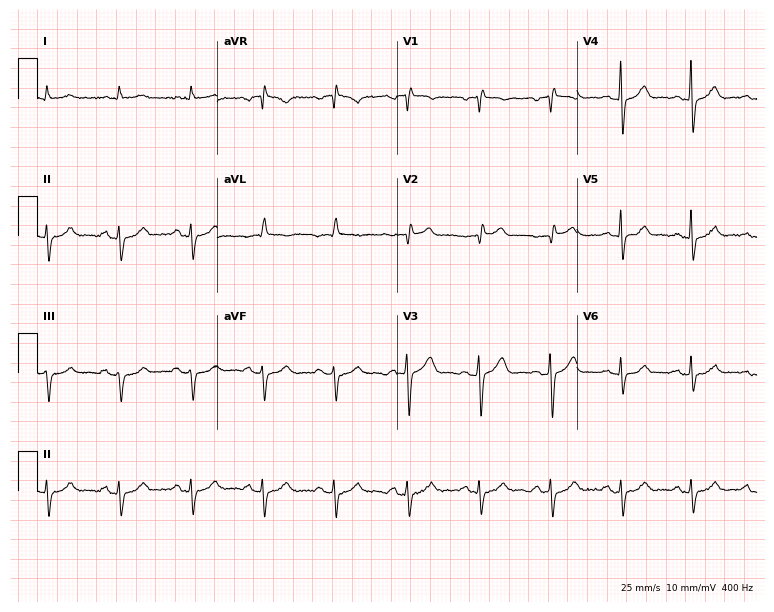
Electrocardiogram, a 67-year-old man. Of the six screened findings (first-degree AV block, right bundle branch block, left bundle branch block, sinus bradycardia, atrial fibrillation, sinus tachycardia), none is recorded.